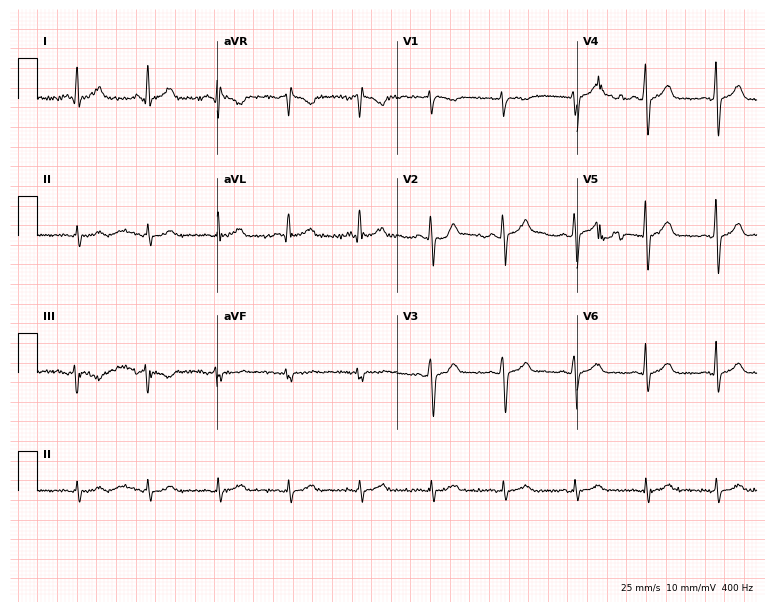
Electrocardiogram (7.3-second recording at 400 Hz), a 50-year-old female patient. Overall reading on record: normal ECG.